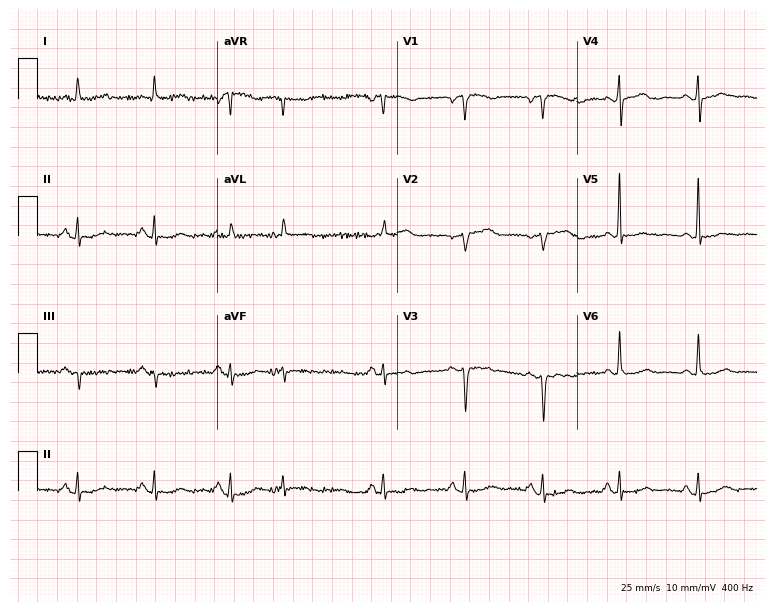
12-lead ECG (7.3-second recording at 400 Hz) from a female patient, 69 years old. Screened for six findings — first-degree AV block, right bundle branch block (RBBB), left bundle branch block (LBBB), sinus bradycardia, atrial fibrillation (AF), sinus tachycardia — none is recorded. Only these six findings were labelled.